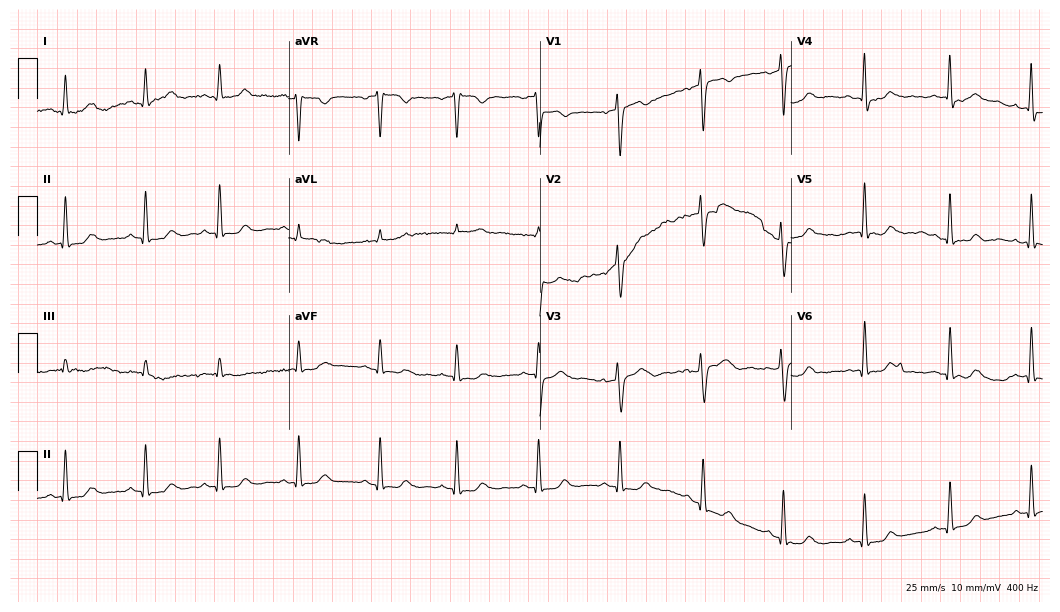
Electrocardiogram, a 36-year-old woman. Overall reading on record: normal ECG.